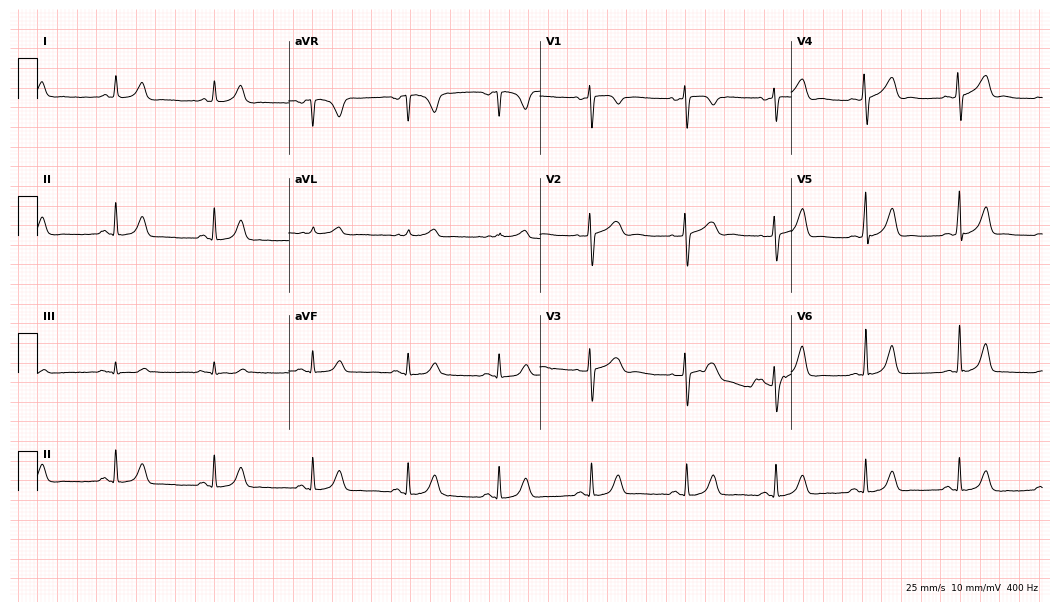
12-lead ECG from a female patient, 27 years old. Screened for six findings — first-degree AV block, right bundle branch block, left bundle branch block, sinus bradycardia, atrial fibrillation, sinus tachycardia — none is recorded. Other findings, if any, are not listed.